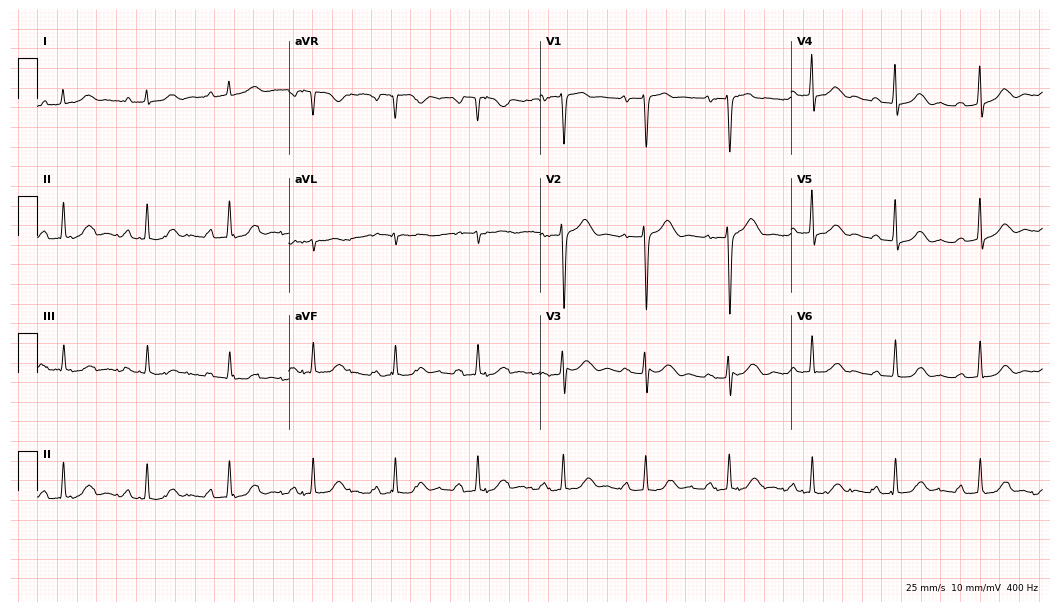
ECG — a 66-year-old female patient. Screened for six findings — first-degree AV block, right bundle branch block, left bundle branch block, sinus bradycardia, atrial fibrillation, sinus tachycardia — none is recorded.